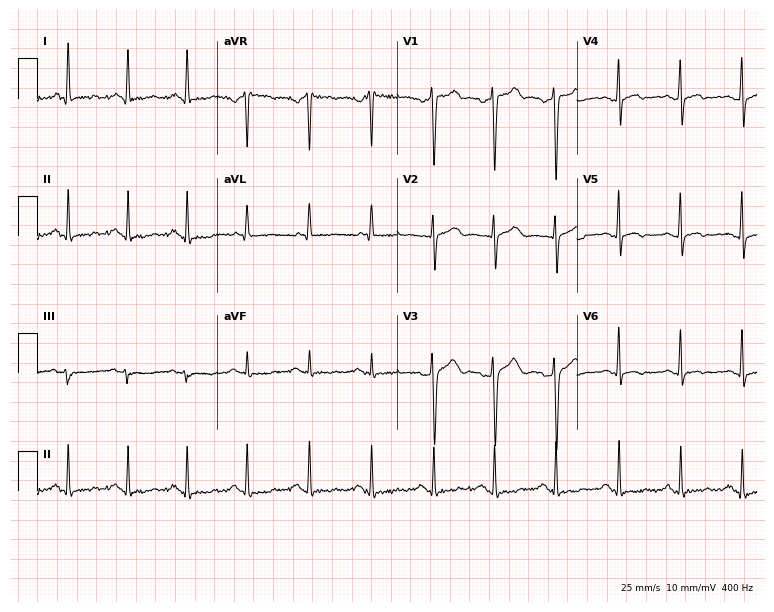
12-lead ECG from a male, 45 years old. No first-degree AV block, right bundle branch block, left bundle branch block, sinus bradycardia, atrial fibrillation or sinus tachycardia recorded for this tracing.